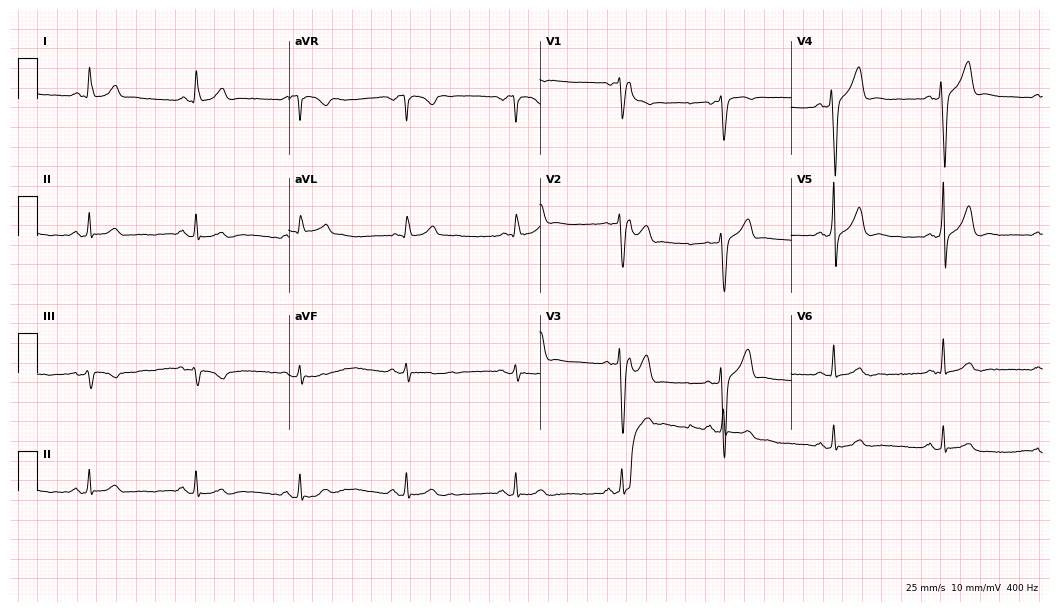
Electrocardiogram, a male patient, 48 years old. Of the six screened findings (first-degree AV block, right bundle branch block, left bundle branch block, sinus bradycardia, atrial fibrillation, sinus tachycardia), none is recorded. Other findings, if any, are not listed.